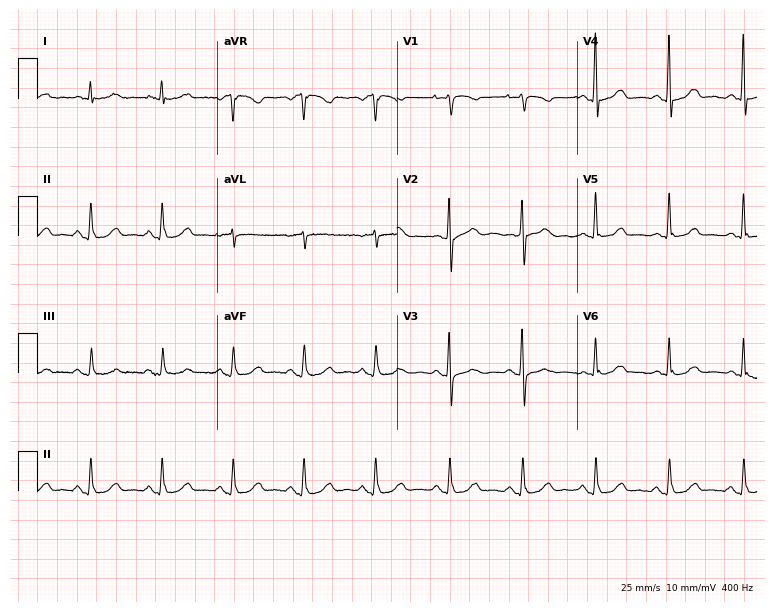
ECG — a female, 71 years old. Labelled as a normal ECG.